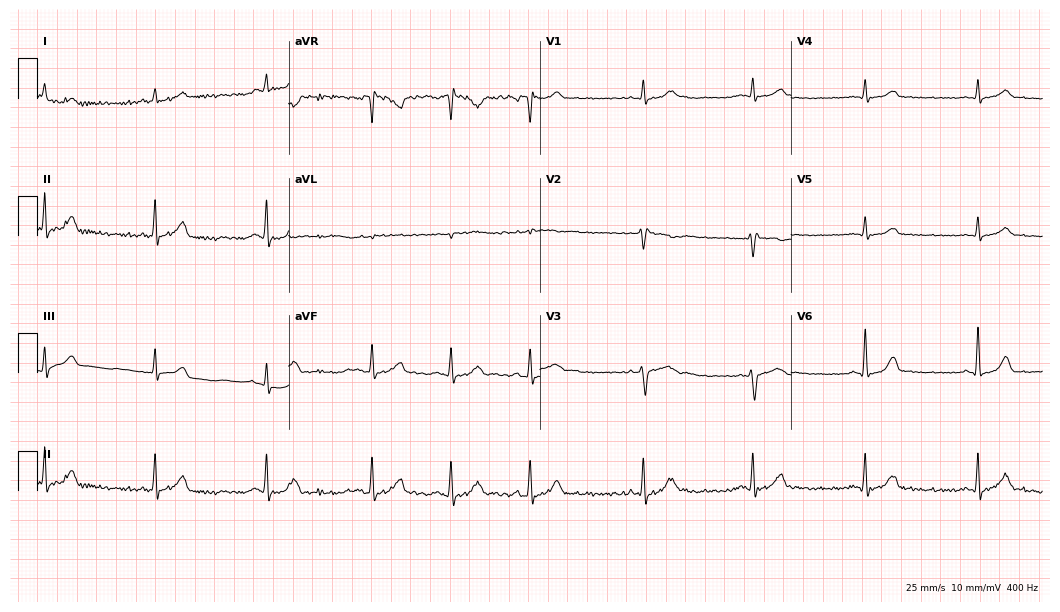
ECG (10.2-second recording at 400 Hz) — a 27-year-old female patient. Labelled as a normal ECG.